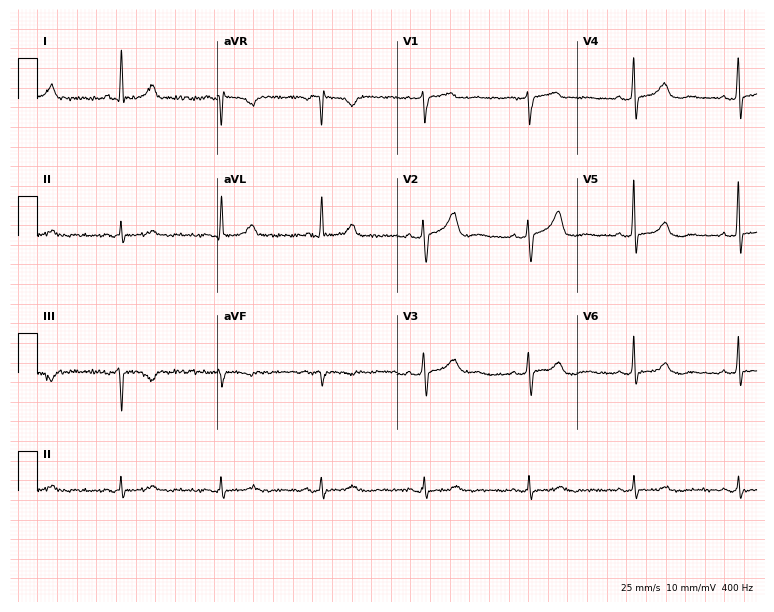
Standard 12-lead ECG recorded from a male patient, 67 years old (7.3-second recording at 400 Hz). Read as a normal ECG.